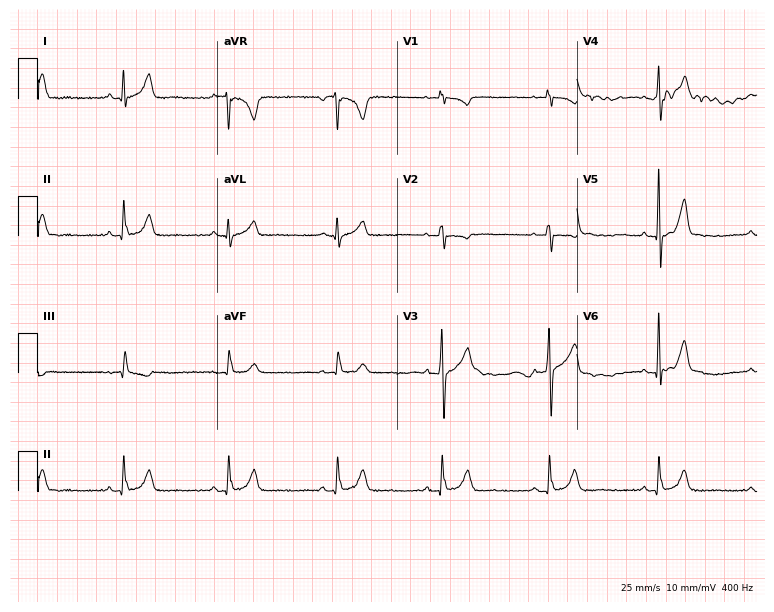
Electrocardiogram, a male, 38 years old. Of the six screened findings (first-degree AV block, right bundle branch block (RBBB), left bundle branch block (LBBB), sinus bradycardia, atrial fibrillation (AF), sinus tachycardia), none is recorded.